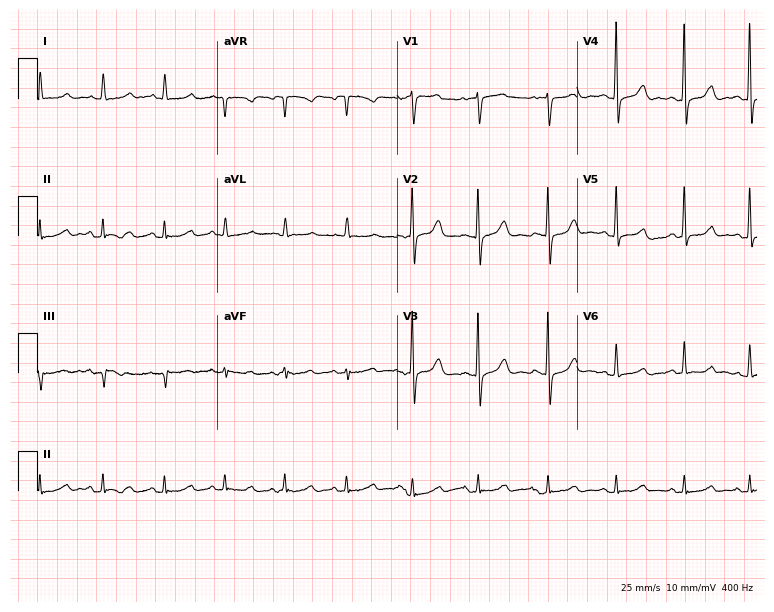
Electrocardiogram, a female, 76 years old. Overall reading on record: normal ECG.